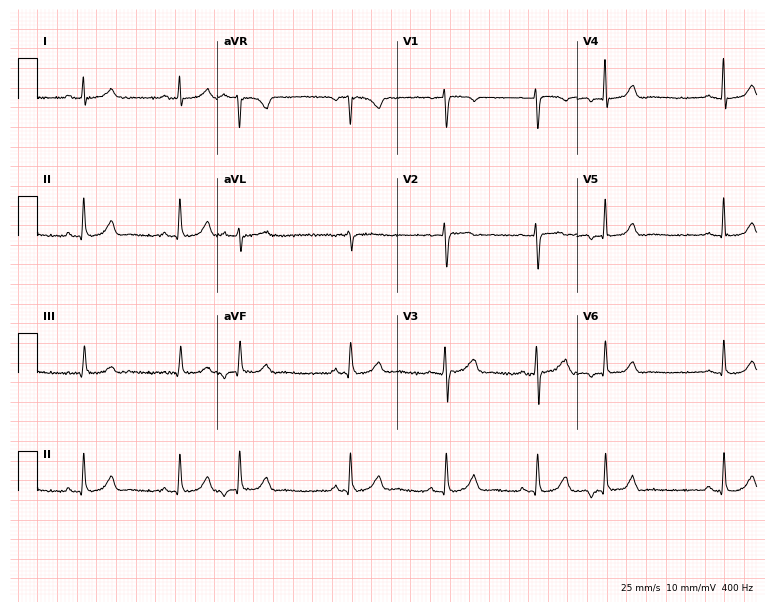
ECG — a woman, 42 years old. Screened for six findings — first-degree AV block, right bundle branch block (RBBB), left bundle branch block (LBBB), sinus bradycardia, atrial fibrillation (AF), sinus tachycardia — none is recorded. Only these six findings were labelled.